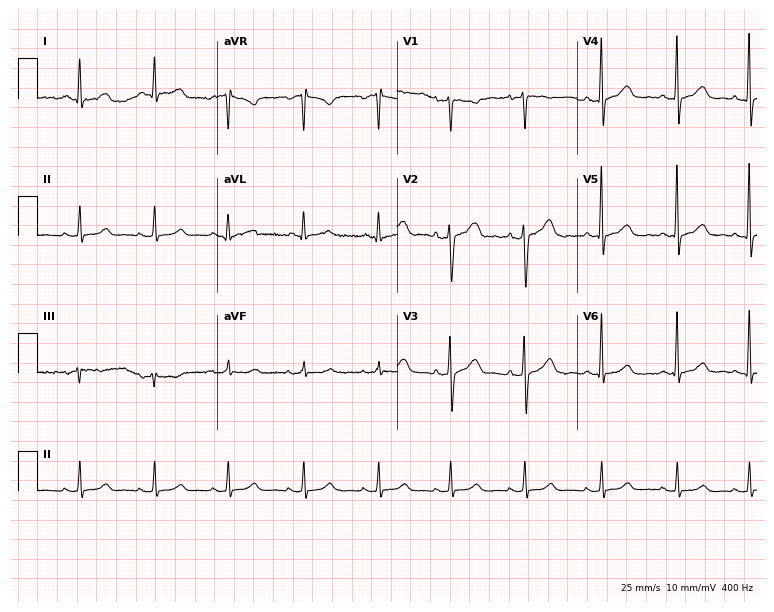
12-lead ECG from a female, 52 years old (7.3-second recording at 400 Hz). No first-degree AV block, right bundle branch block (RBBB), left bundle branch block (LBBB), sinus bradycardia, atrial fibrillation (AF) or sinus tachycardia recorded for this tracing.